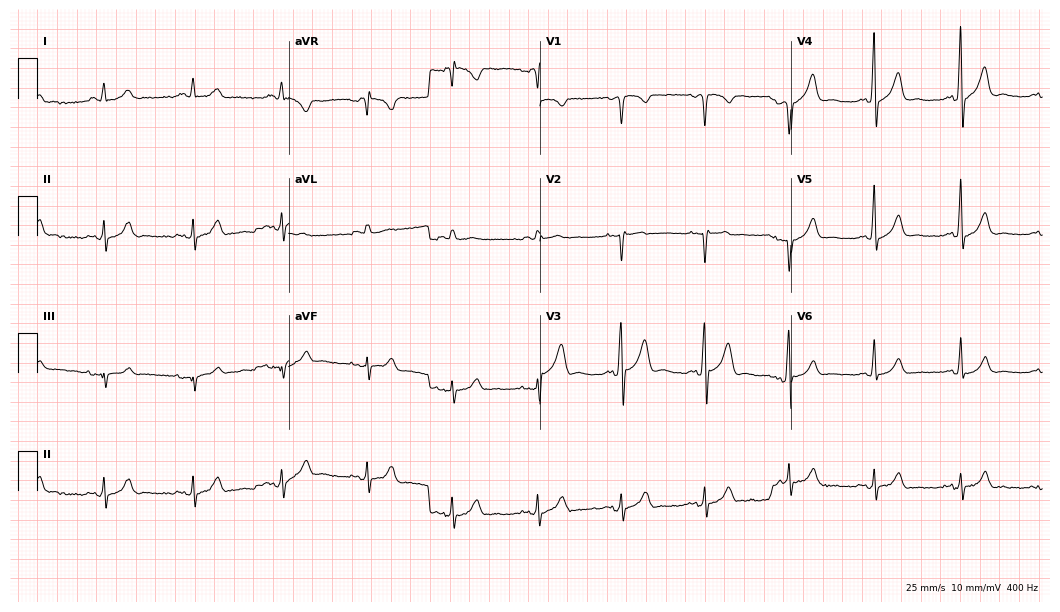
12-lead ECG from a 53-year-old man (10.2-second recording at 400 Hz). No first-degree AV block, right bundle branch block, left bundle branch block, sinus bradycardia, atrial fibrillation or sinus tachycardia recorded for this tracing.